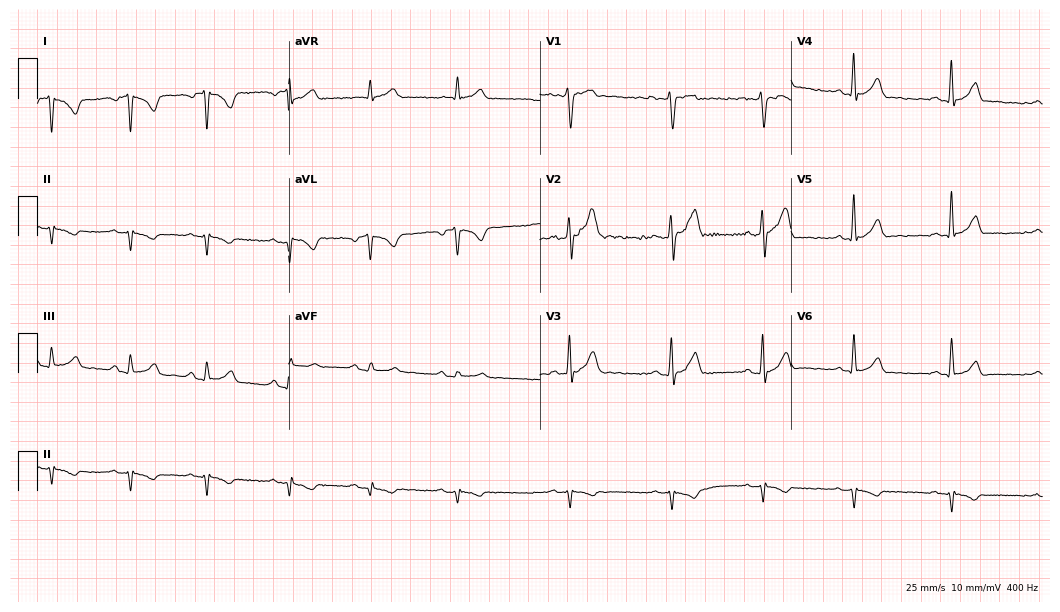
ECG (10.2-second recording at 400 Hz) — a 32-year-old male. Screened for six findings — first-degree AV block, right bundle branch block, left bundle branch block, sinus bradycardia, atrial fibrillation, sinus tachycardia — none is recorded.